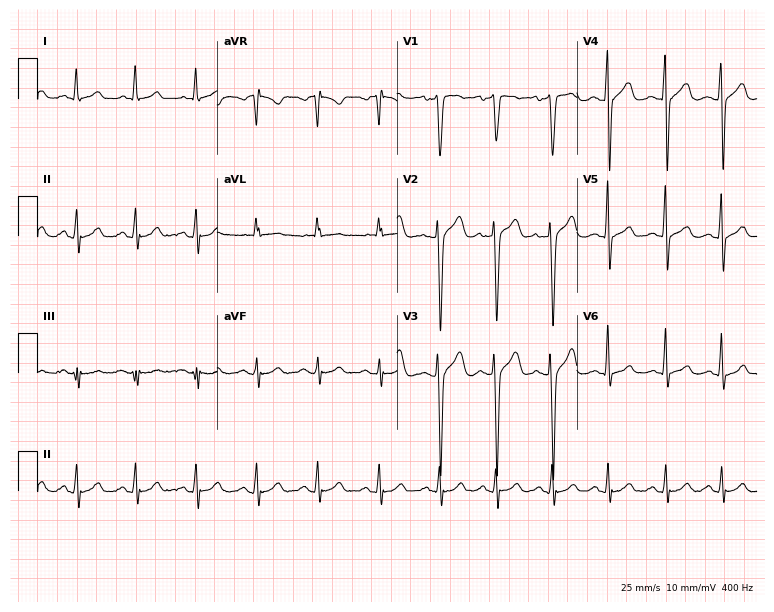
ECG (7.3-second recording at 400 Hz) — a man, 24 years old. Labelled as a normal ECG.